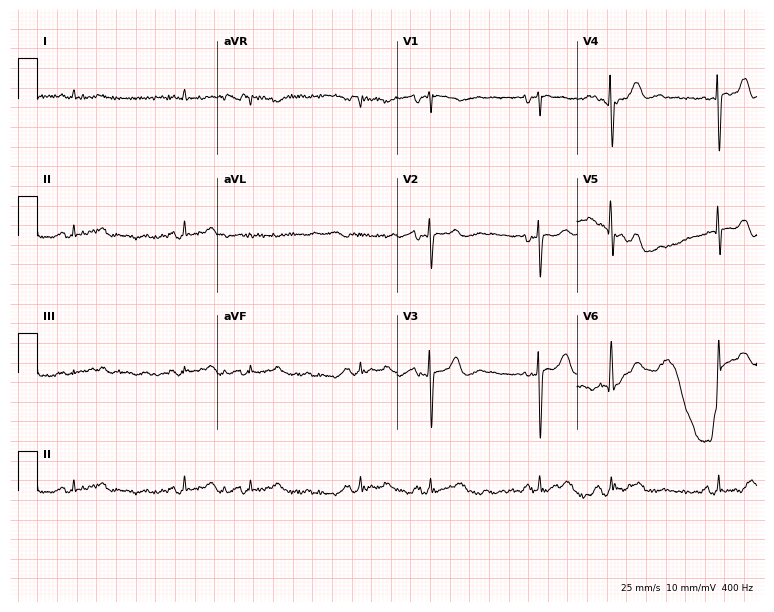
12-lead ECG (7.3-second recording at 400 Hz) from a 70-year-old female patient. Screened for six findings — first-degree AV block, right bundle branch block (RBBB), left bundle branch block (LBBB), sinus bradycardia, atrial fibrillation (AF), sinus tachycardia — none is recorded.